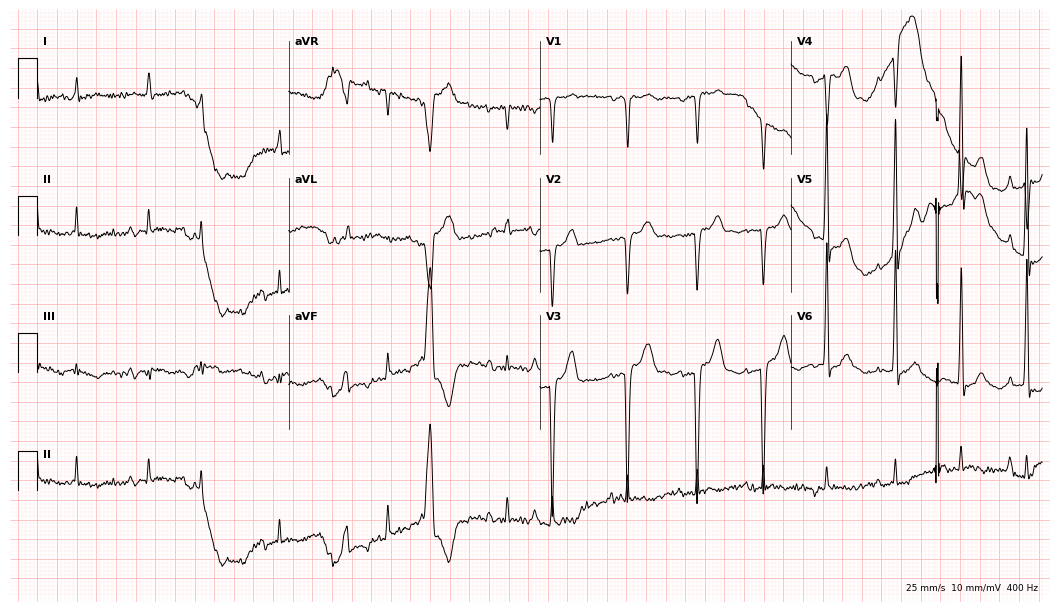
Electrocardiogram (10.2-second recording at 400 Hz), a male, 78 years old. Of the six screened findings (first-degree AV block, right bundle branch block (RBBB), left bundle branch block (LBBB), sinus bradycardia, atrial fibrillation (AF), sinus tachycardia), none is recorded. Only these six findings were labelled.